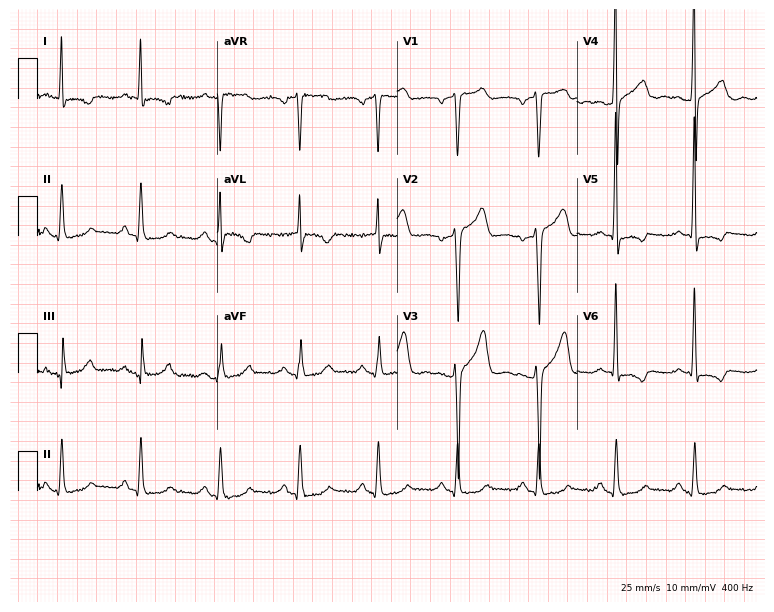
ECG — a 52-year-old male patient. Screened for six findings — first-degree AV block, right bundle branch block, left bundle branch block, sinus bradycardia, atrial fibrillation, sinus tachycardia — none is recorded.